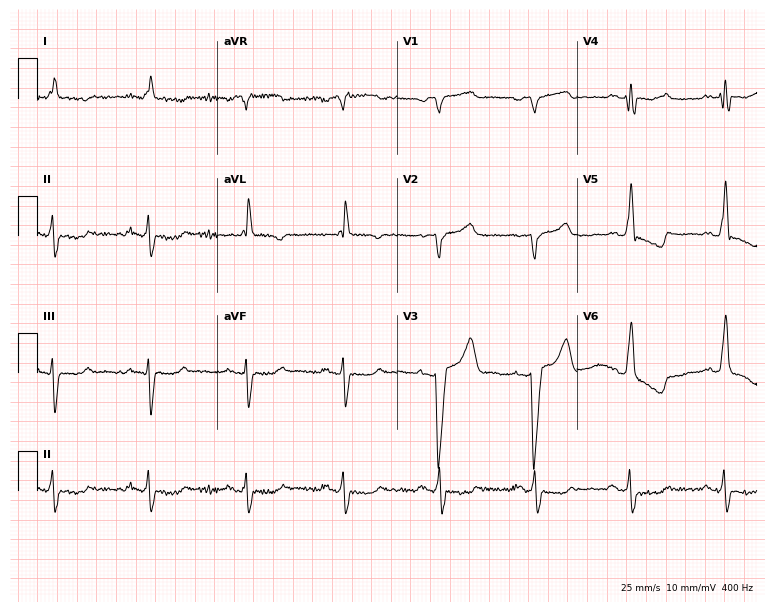
12-lead ECG from a male, 75 years old. Shows left bundle branch block.